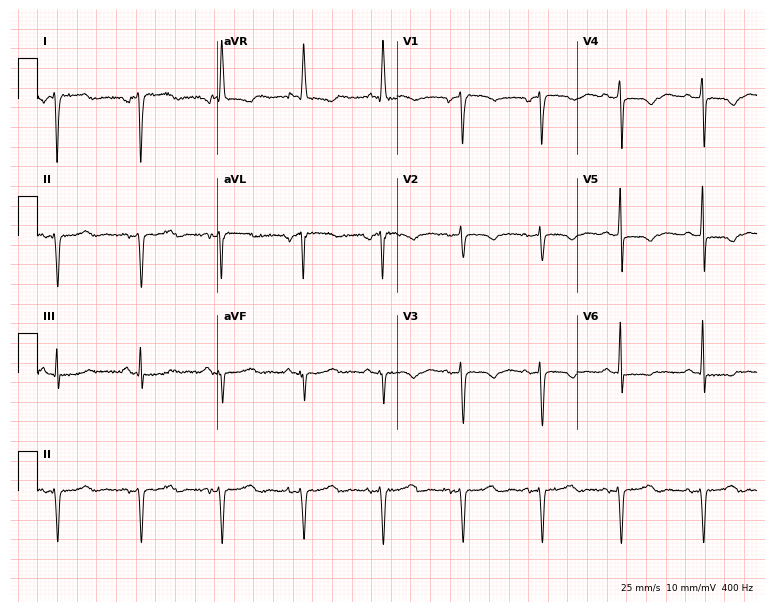
Resting 12-lead electrocardiogram. Patient: a 78-year-old female. None of these six findings is recorded: first-degree AV block, right bundle branch block, left bundle branch block, sinus bradycardia, atrial fibrillation, sinus tachycardia. Findings outside these six are not listed.